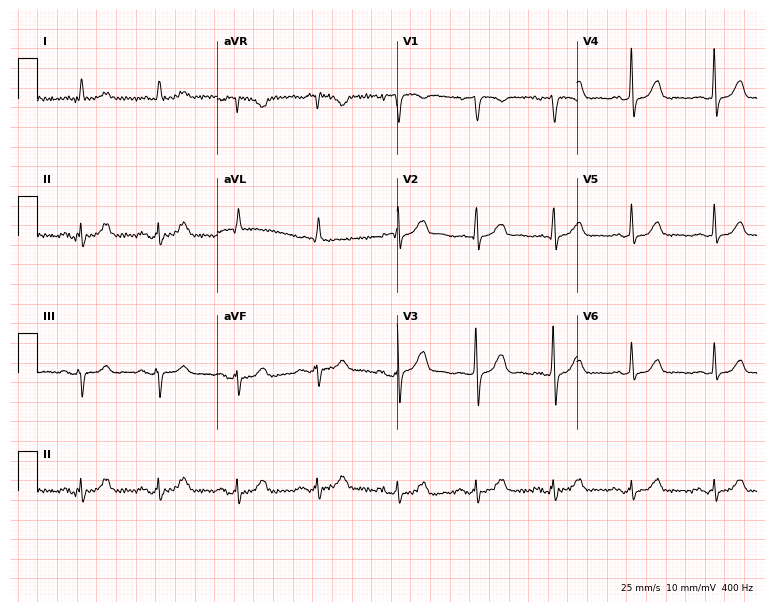
Electrocardiogram (7.3-second recording at 400 Hz), a 73-year-old female. Overall reading on record: normal ECG.